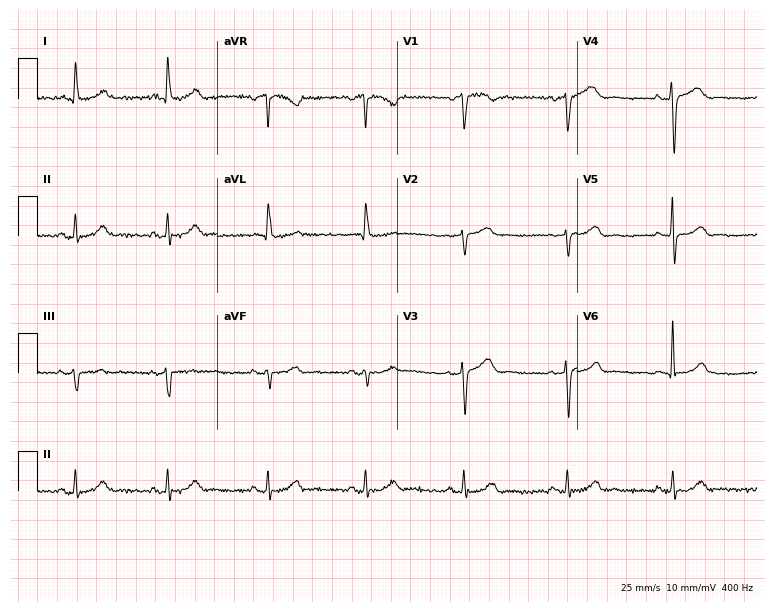
12-lead ECG from a female patient, 65 years old. Labelled as a normal ECG.